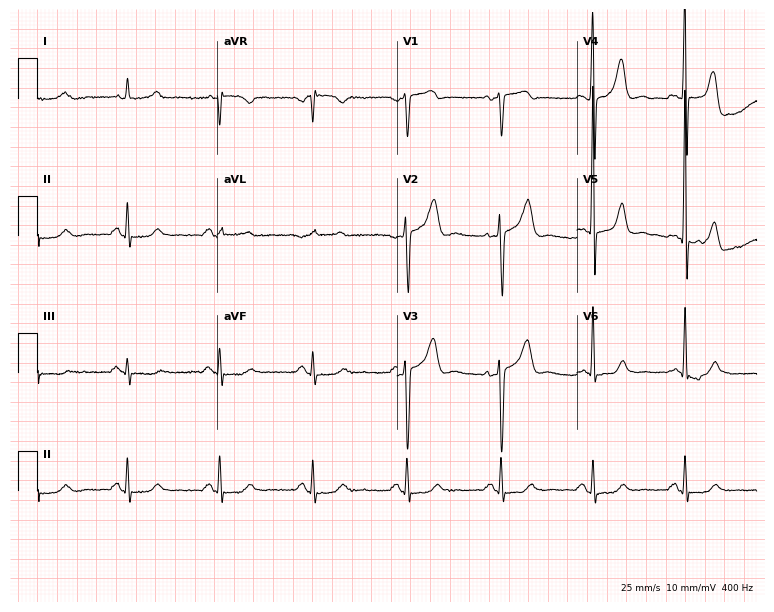
Standard 12-lead ECG recorded from a male, 56 years old. Read as a normal ECG.